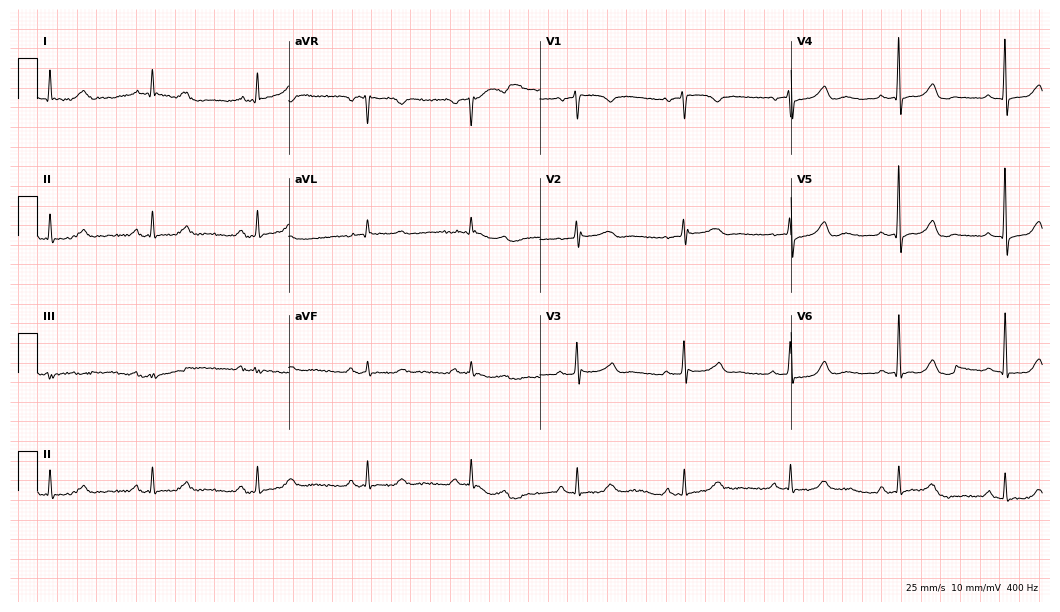
12-lead ECG (10.2-second recording at 400 Hz) from a 78-year-old female patient. Labelled as a normal ECG.